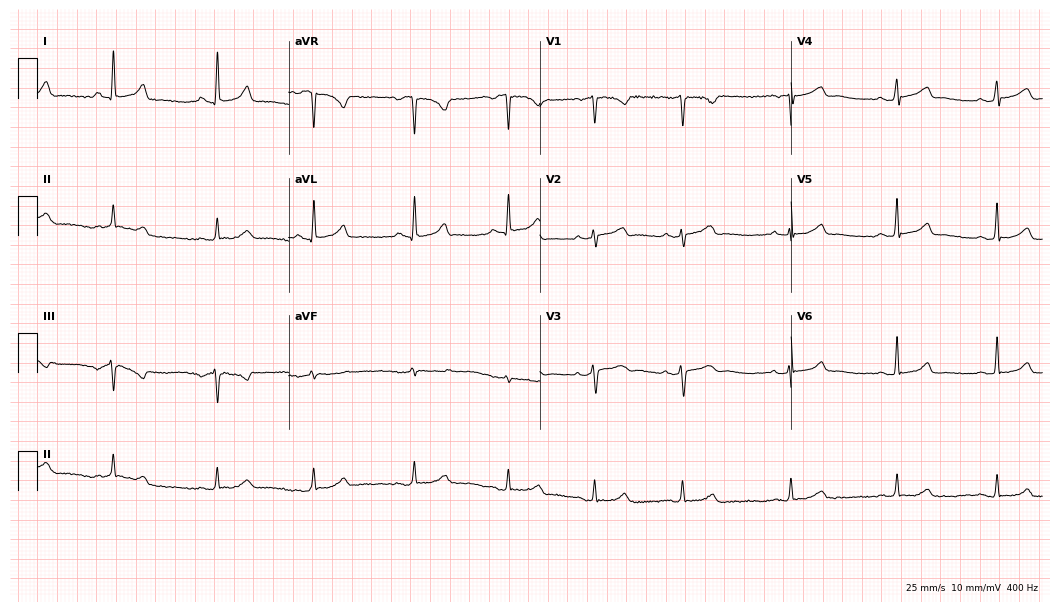
ECG (10.2-second recording at 400 Hz) — a female, 31 years old. Labelled as a normal ECG.